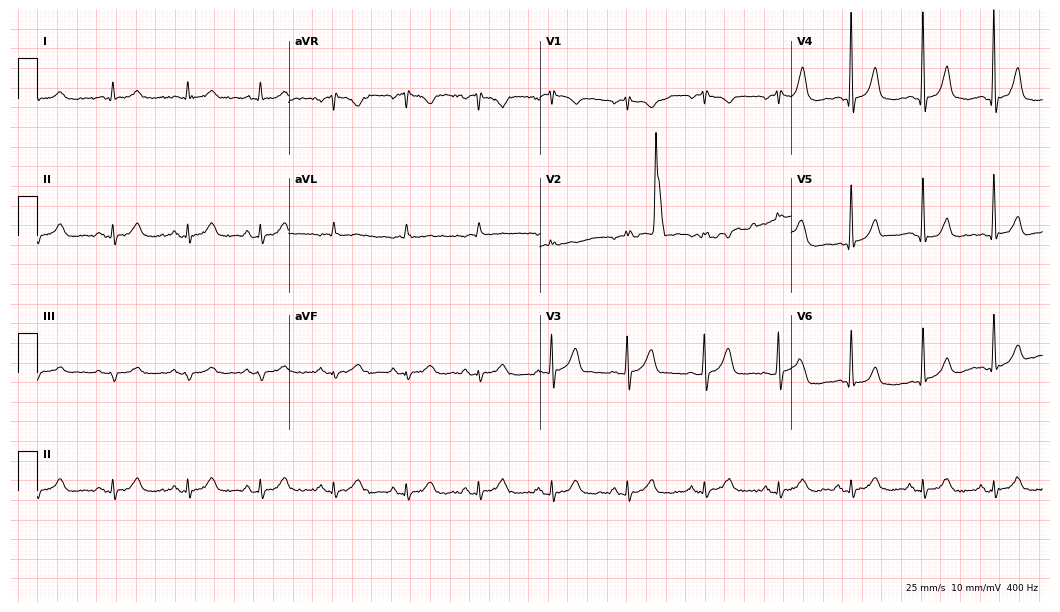
Resting 12-lead electrocardiogram (10.2-second recording at 400 Hz). Patient: a 73-year-old male. Read as a normal ECG.